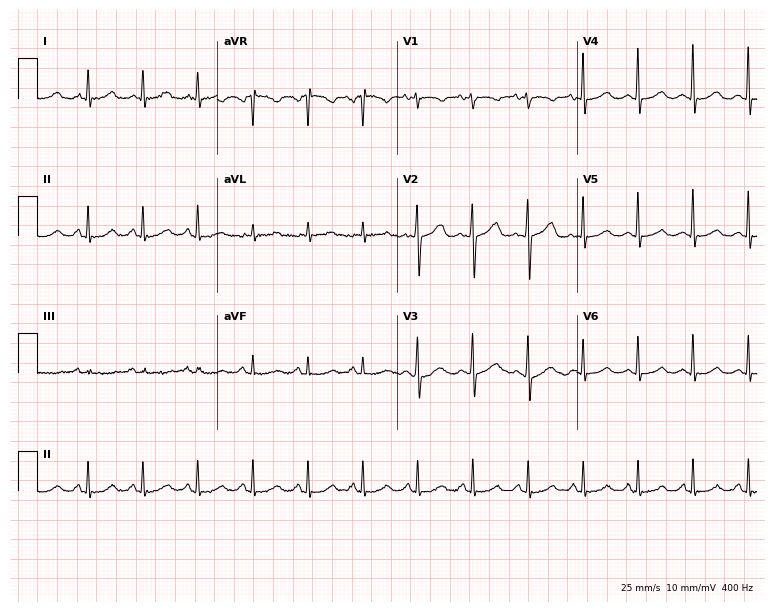
ECG — a 45-year-old female patient. Findings include sinus tachycardia (a sinus rate of 100 beats per minute or more).